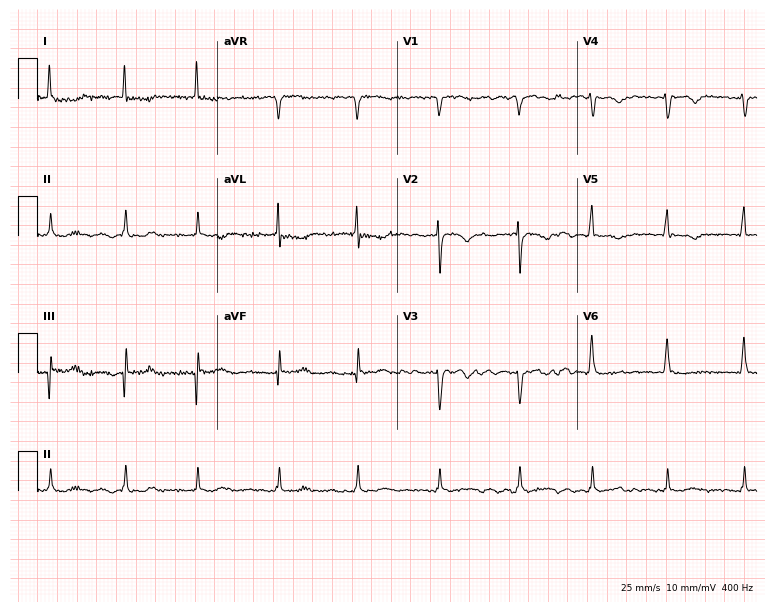
Electrocardiogram, a female patient, 84 years old. Interpretation includes atrial fibrillation.